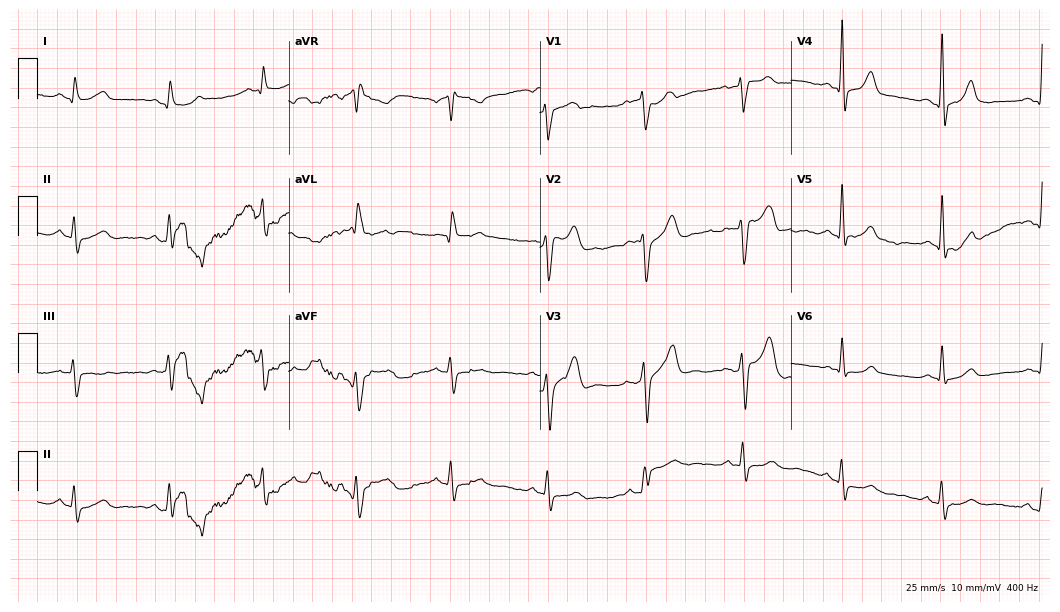
ECG (10.2-second recording at 400 Hz) — an 80-year-old man. Screened for six findings — first-degree AV block, right bundle branch block (RBBB), left bundle branch block (LBBB), sinus bradycardia, atrial fibrillation (AF), sinus tachycardia — none is recorded. Other findings, if any, are not listed.